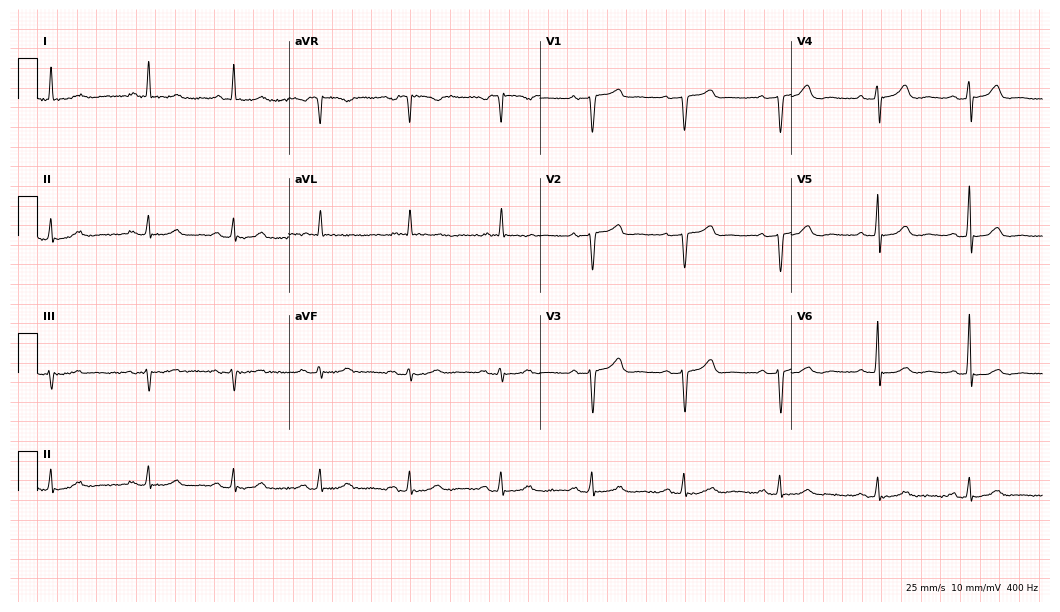
12-lead ECG from a 75-year-old woman (10.2-second recording at 400 Hz). Recorded interpretation: within normal limits.